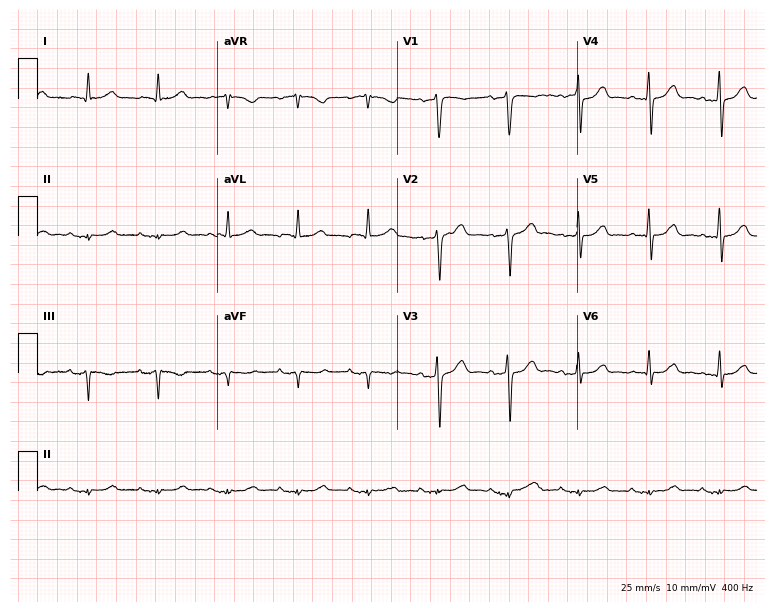
12-lead ECG from a man, 79 years old. Screened for six findings — first-degree AV block, right bundle branch block, left bundle branch block, sinus bradycardia, atrial fibrillation, sinus tachycardia — none is recorded. Only these six findings were labelled.